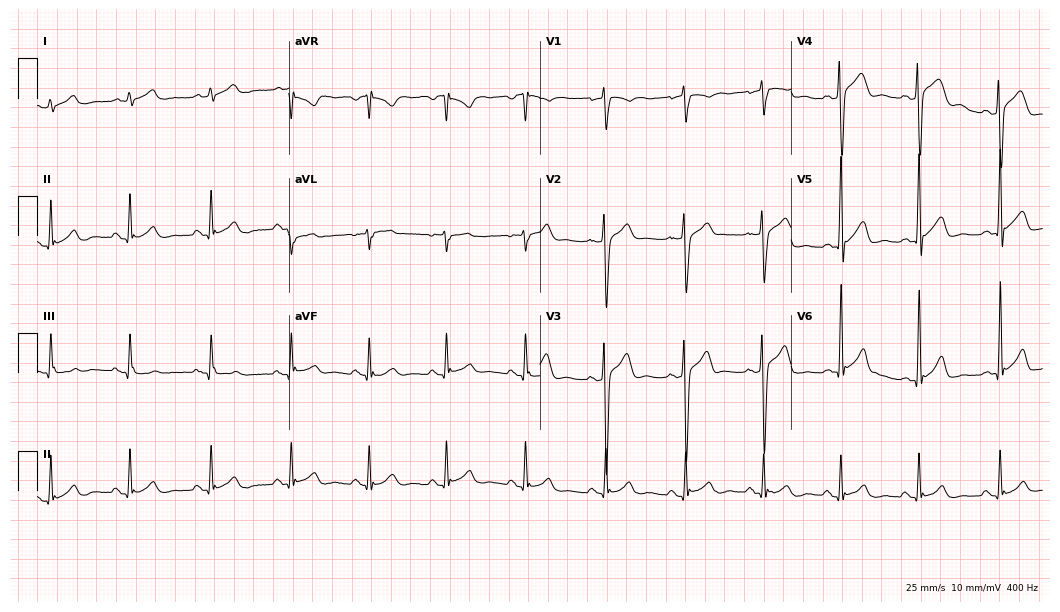
ECG — a man, 38 years old. Labelled as a normal ECG.